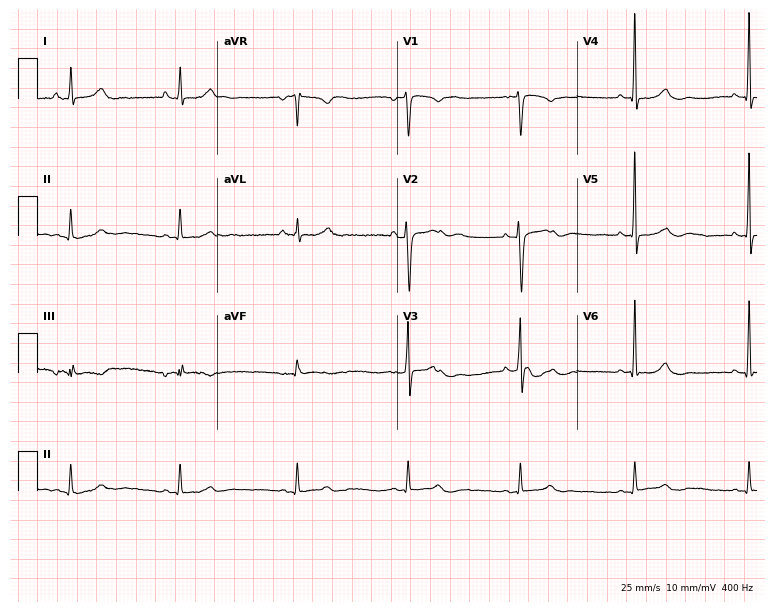
Standard 12-lead ECG recorded from a 58-year-old male. Read as a normal ECG.